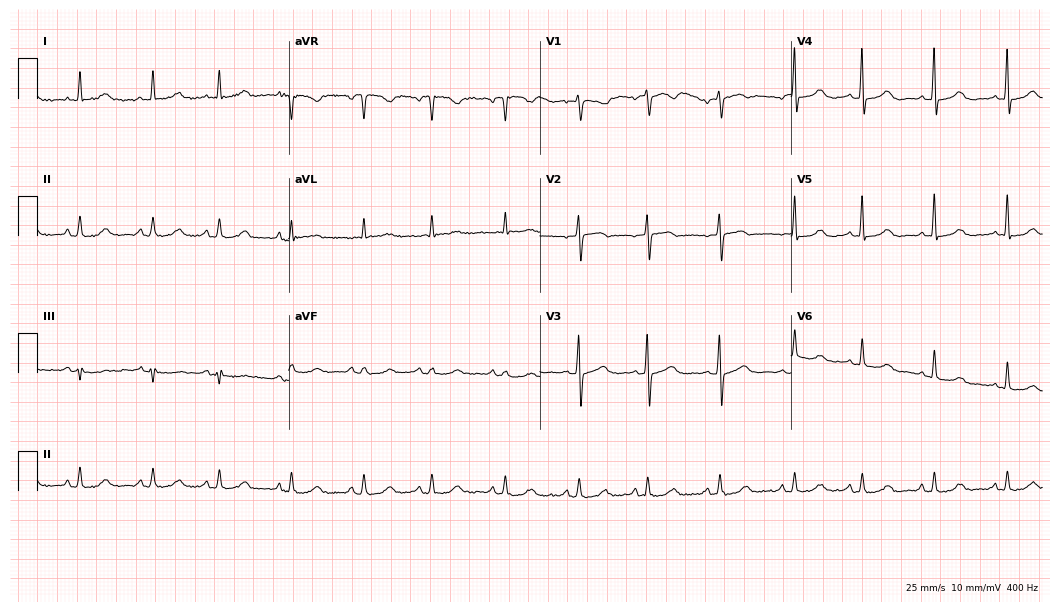
Resting 12-lead electrocardiogram (10.2-second recording at 400 Hz). Patient: a woman, 75 years old. Read as a normal ECG.